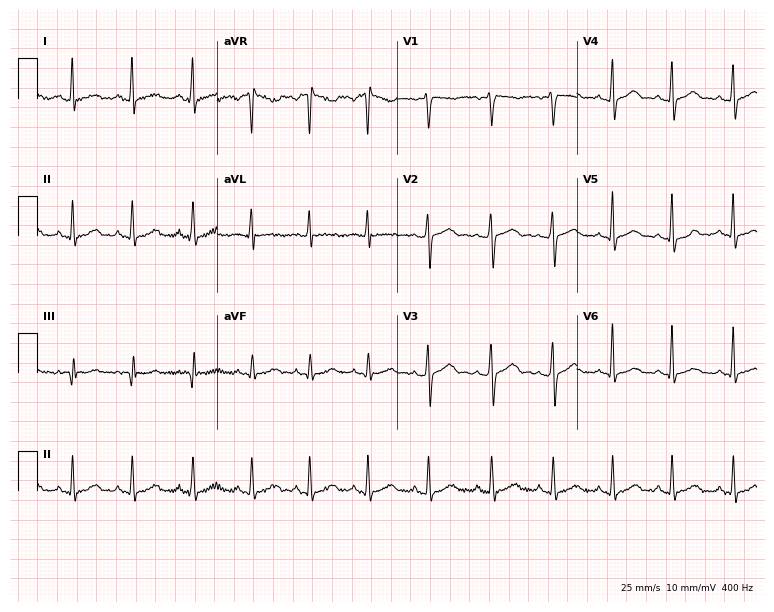
Standard 12-lead ECG recorded from a 42-year-old female. None of these six findings is recorded: first-degree AV block, right bundle branch block, left bundle branch block, sinus bradycardia, atrial fibrillation, sinus tachycardia.